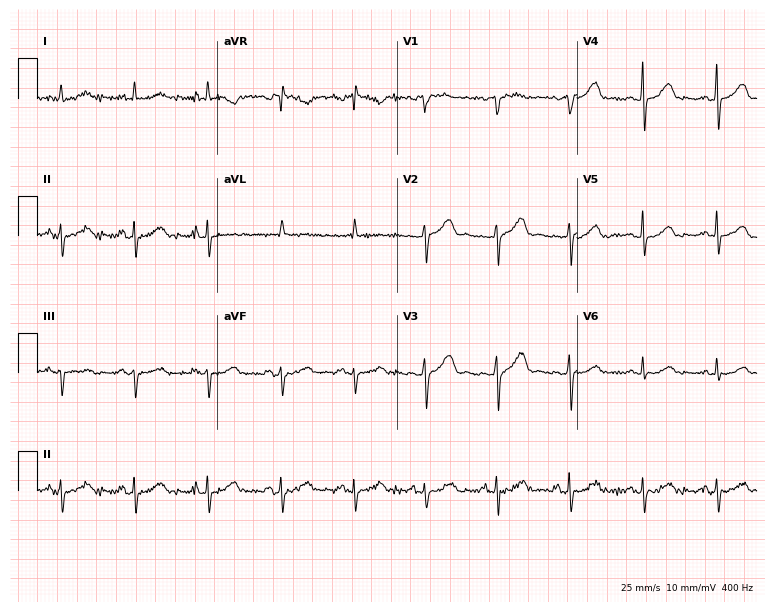
Electrocardiogram (7.3-second recording at 400 Hz), a 58-year-old woman. Of the six screened findings (first-degree AV block, right bundle branch block (RBBB), left bundle branch block (LBBB), sinus bradycardia, atrial fibrillation (AF), sinus tachycardia), none is recorded.